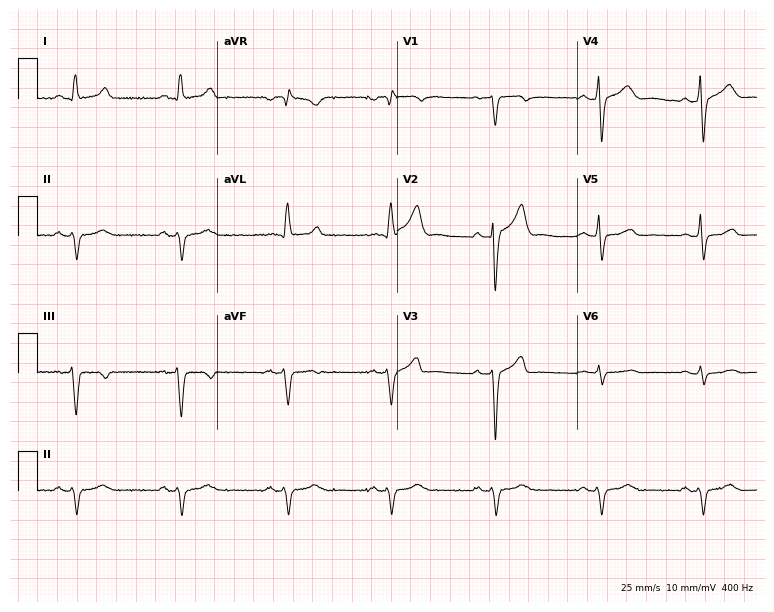
Electrocardiogram, a 59-year-old male patient. Interpretation includes left bundle branch block.